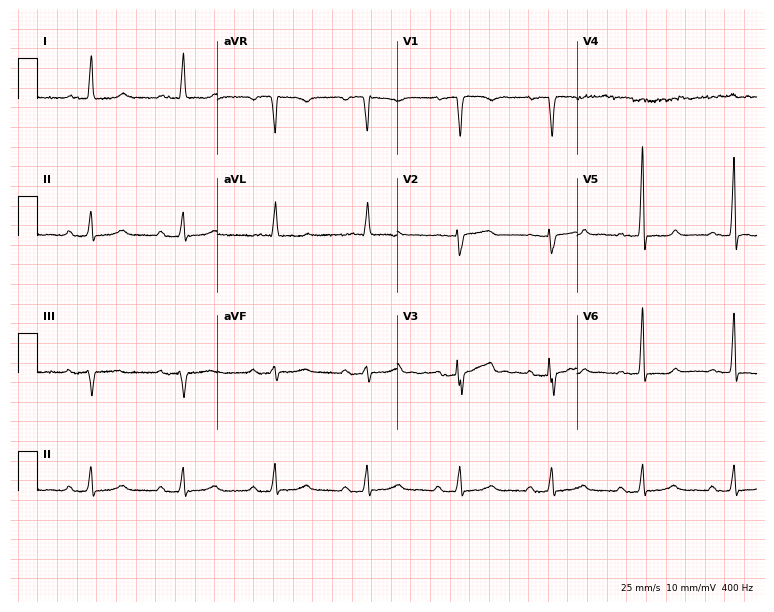
Resting 12-lead electrocardiogram (7.3-second recording at 400 Hz). Patient: a 77-year-old female. The tracing shows first-degree AV block.